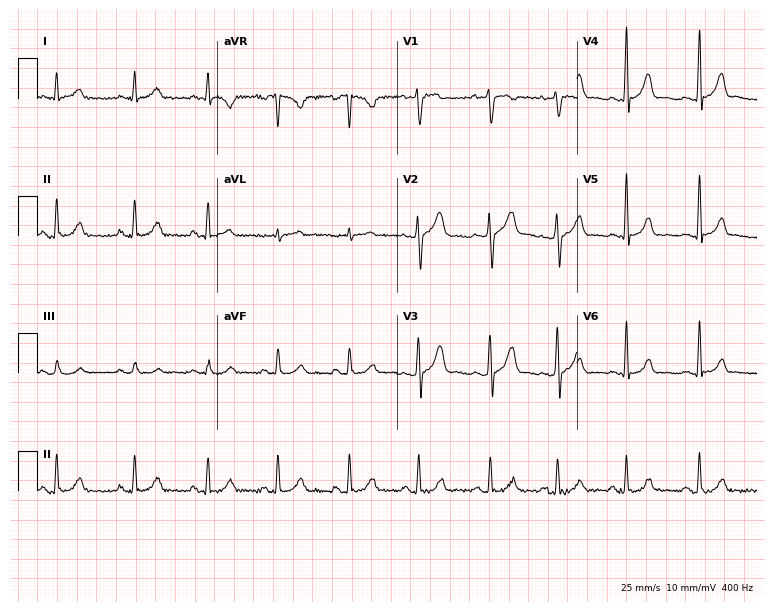
Standard 12-lead ECG recorded from a 38-year-old man. None of these six findings is recorded: first-degree AV block, right bundle branch block, left bundle branch block, sinus bradycardia, atrial fibrillation, sinus tachycardia. Only these six findings were labelled.